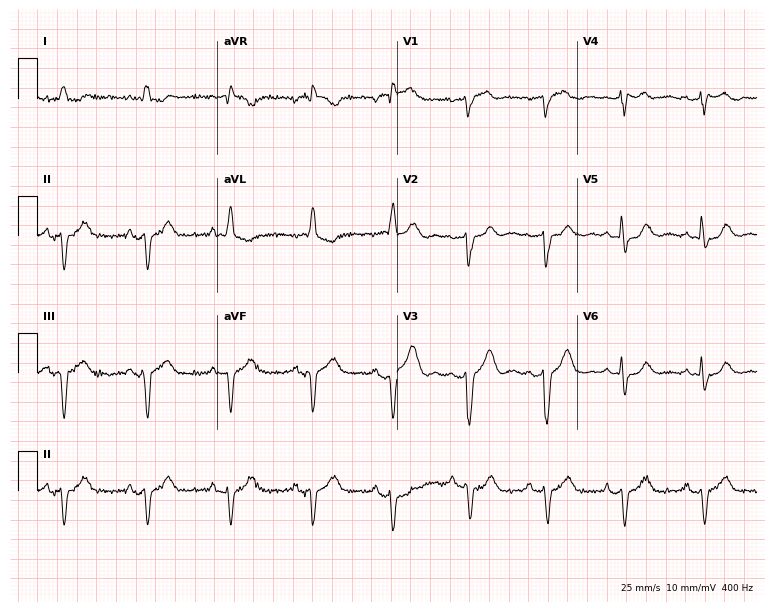
12-lead ECG from a 64-year-old man. No first-degree AV block, right bundle branch block (RBBB), left bundle branch block (LBBB), sinus bradycardia, atrial fibrillation (AF) or sinus tachycardia recorded for this tracing.